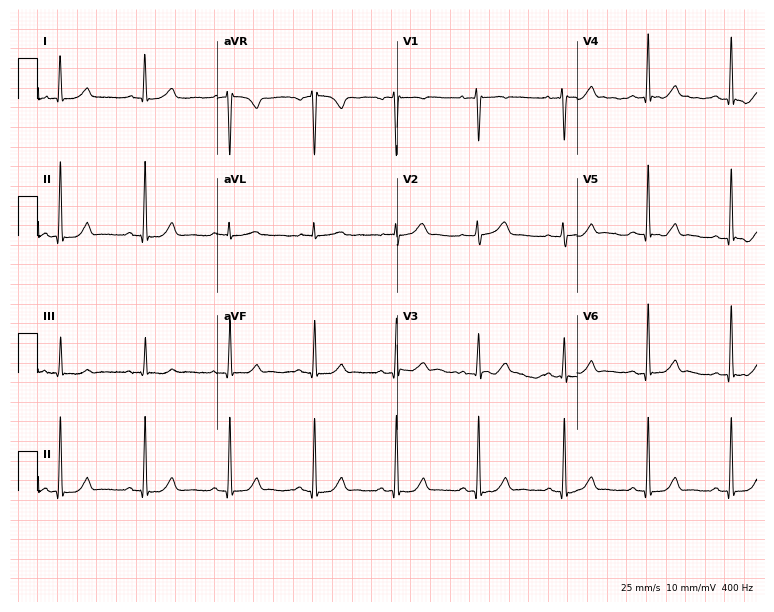
Resting 12-lead electrocardiogram (7.3-second recording at 400 Hz). Patient: a 55-year-old woman. Read as a normal ECG.